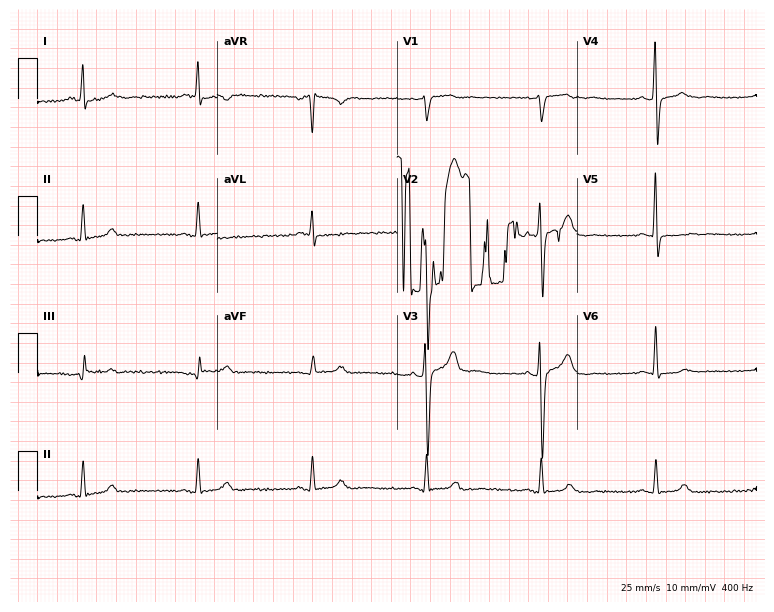
ECG (7.3-second recording at 400 Hz) — a 59-year-old man. Screened for six findings — first-degree AV block, right bundle branch block, left bundle branch block, sinus bradycardia, atrial fibrillation, sinus tachycardia — none is recorded. Findings outside these six are not listed.